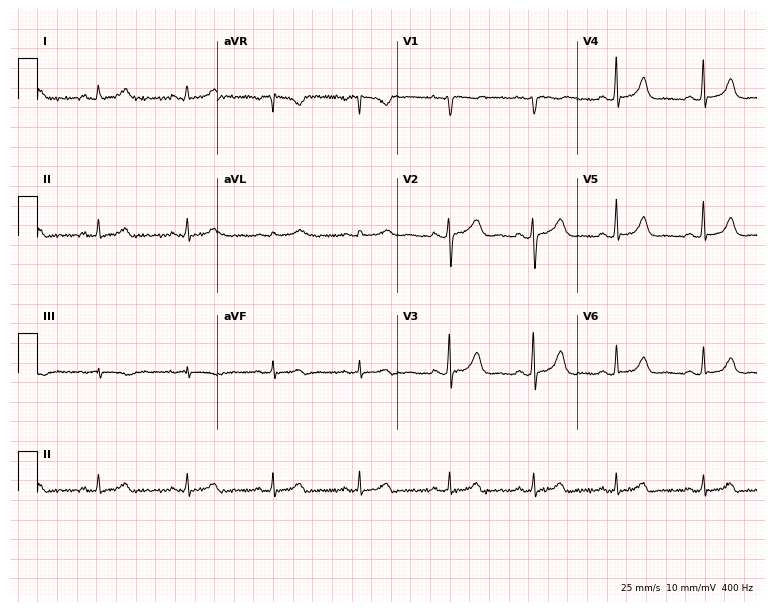
12-lead ECG from a female patient, 46 years old (7.3-second recording at 400 Hz). Recorded interpretation: within normal limits.